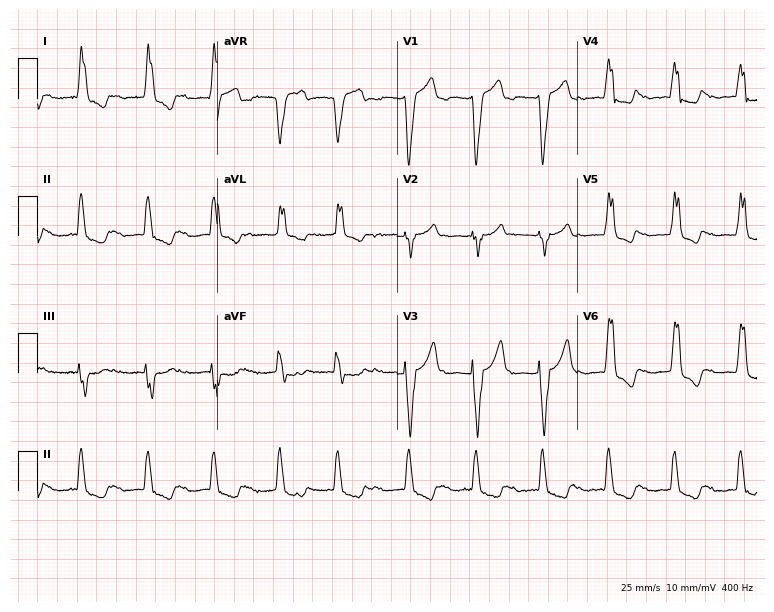
Electrocardiogram, a female, 84 years old. Interpretation includes left bundle branch block, atrial fibrillation.